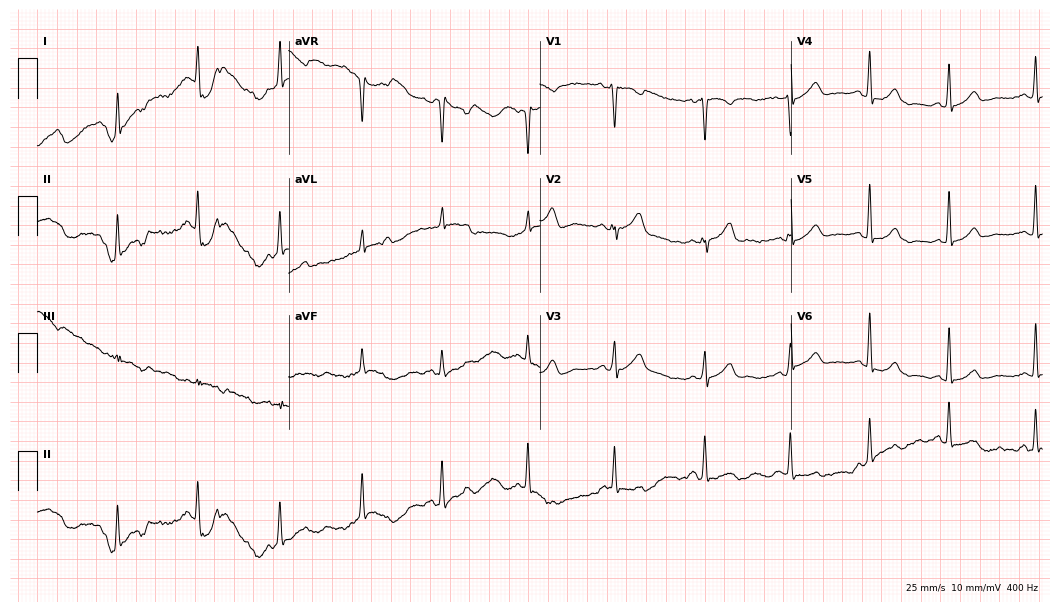
ECG — a female, 26 years old. Screened for six findings — first-degree AV block, right bundle branch block, left bundle branch block, sinus bradycardia, atrial fibrillation, sinus tachycardia — none is recorded.